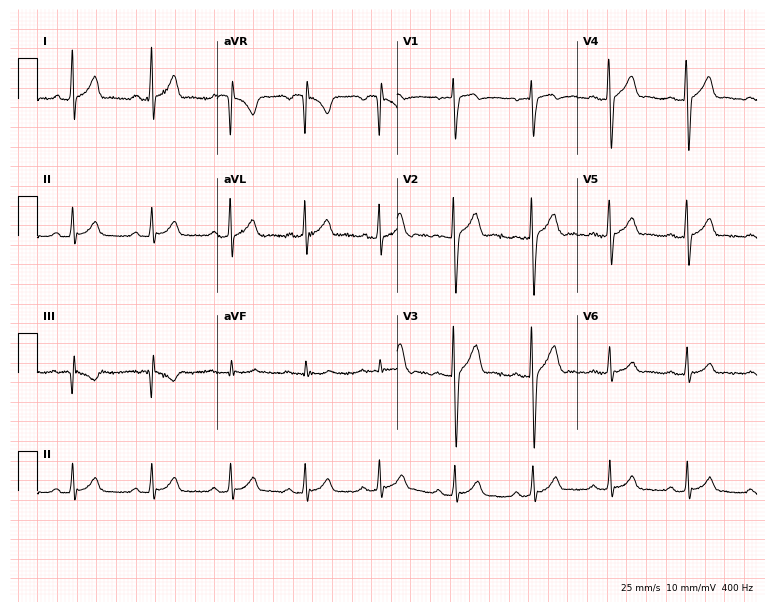
Standard 12-lead ECG recorded from a man, 20 years old. Read as a normal ECG.